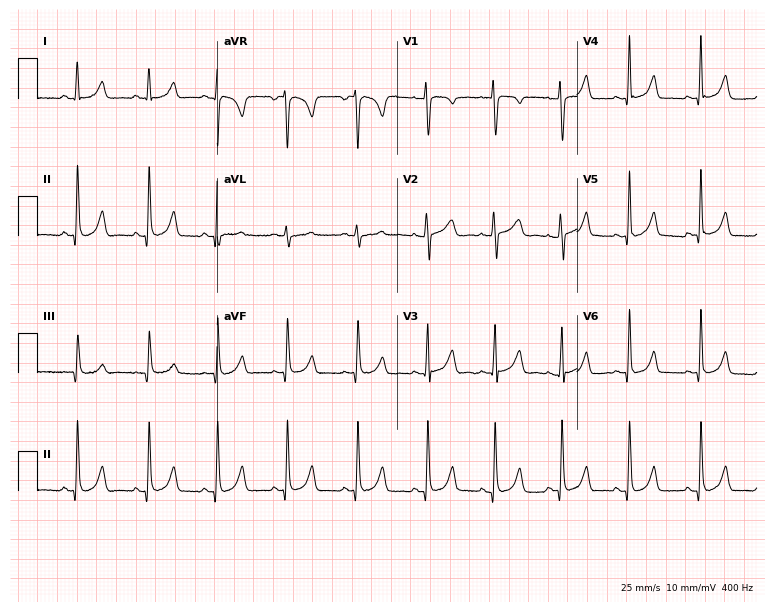
12-lead ECG (7.3-second recording at 400 Hz) from a female patient, 33 years old. Screened for six findings — first-degree AV block, right bundle branch block, left bundle branch block, sinus bradycardia, atrial fibrillation, sinus tachycardia — none is recorded. Only these six findings were labelled.